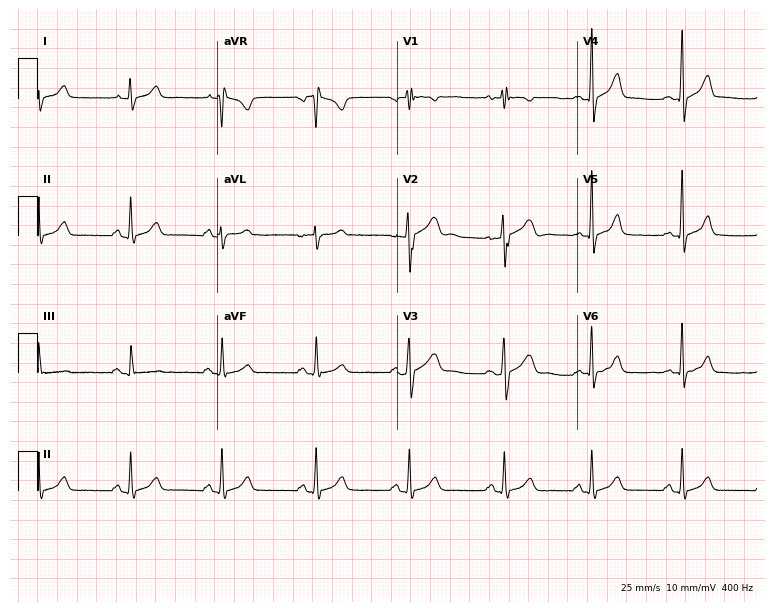
Resting 12-lead electrocardiogram. Patient: a male, 39 years old. Read as a normal ECG.